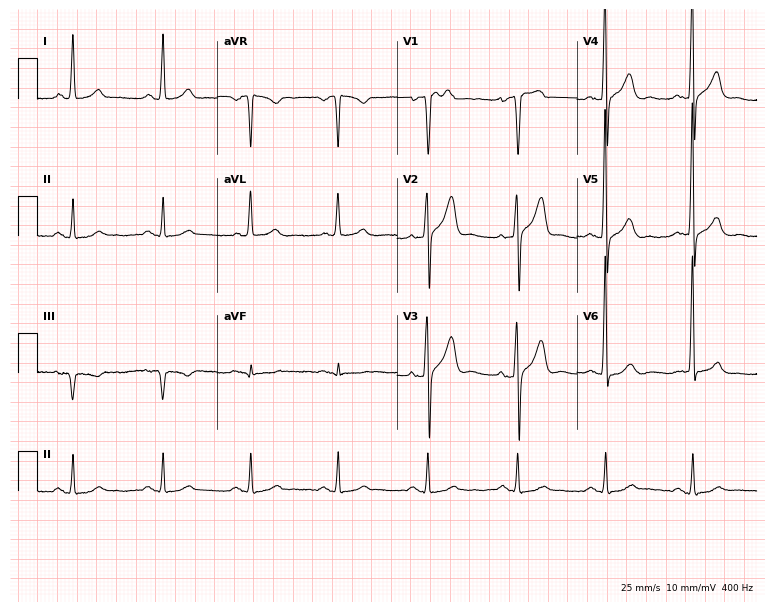
ECG (7.3-second recording at 400 Hz) — a 71-year-old man. Labelled as a normal ECG.